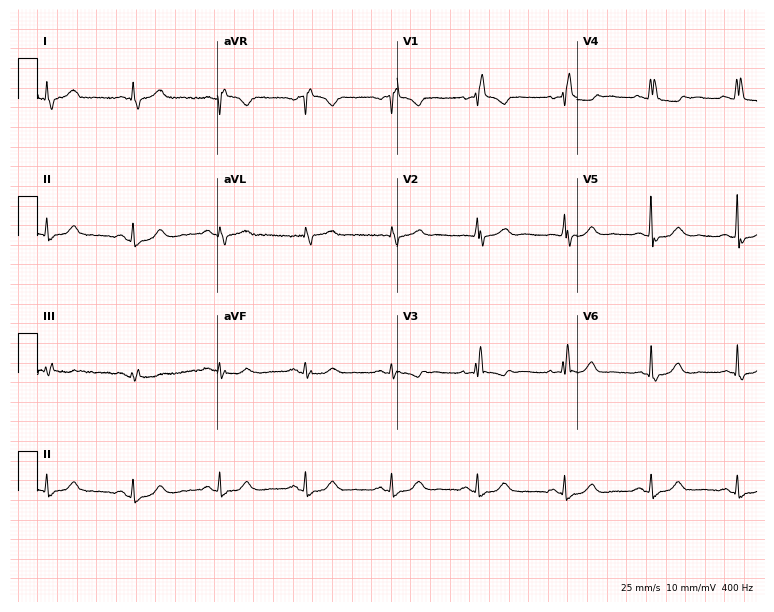
ECG (7.3-second recording at 400 Hz) — a female, 67 years old. Screened for six findings — first-degree AV block, right bundle branch block, left bundle branch block, sinus bradycardia, atrial fibrillation, sinus tachycardia — none is recorded. Findings outside these six are not listed.